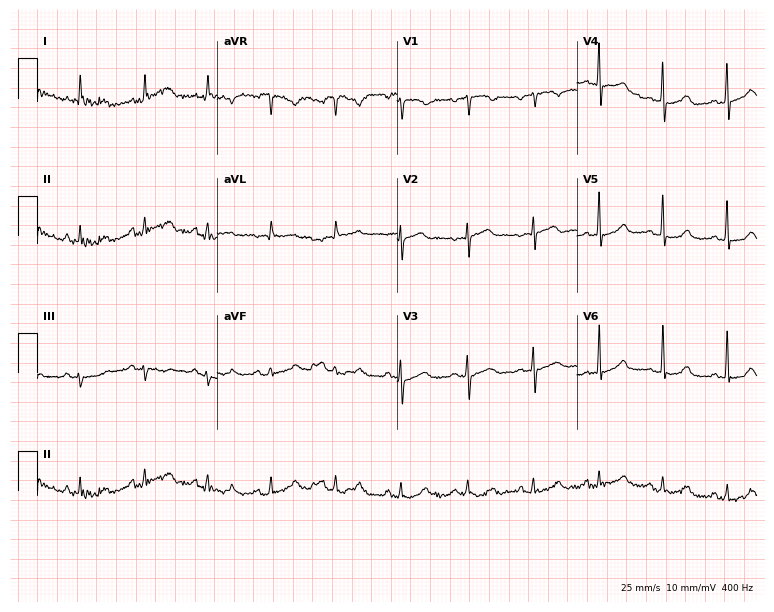
12-lead ECG from a female patient, 73 years old. Labelled as a normal ECG.